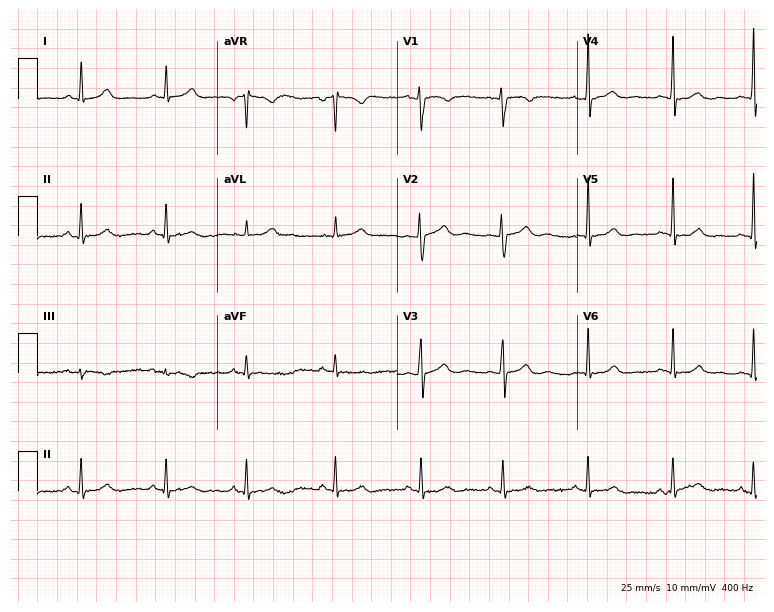
Electrocardiogram, a woman, 26 years old. Of the six screened findings (first-degree AV block, right bundle branch block (RBBB), left bundle branch block (LBBB), sinus bradycardia, atrial fibrillation (AF), sinus tachycardia), none is recorded. Other findings, if any, are not listed.